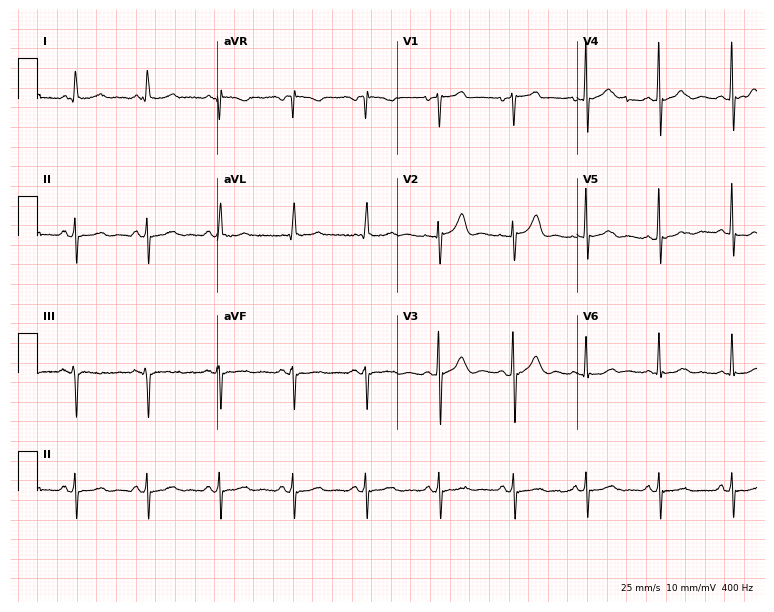
12-lead ECG from a male, 86 years old (7.3-second recording at 400 Hz). No first-degree AV block, right bundle branch block, left bundle branch block, sinus bradycardia, atrial fibrillation or sinus tachycardia recorded for this tracing. Findings outside these six are not listed.